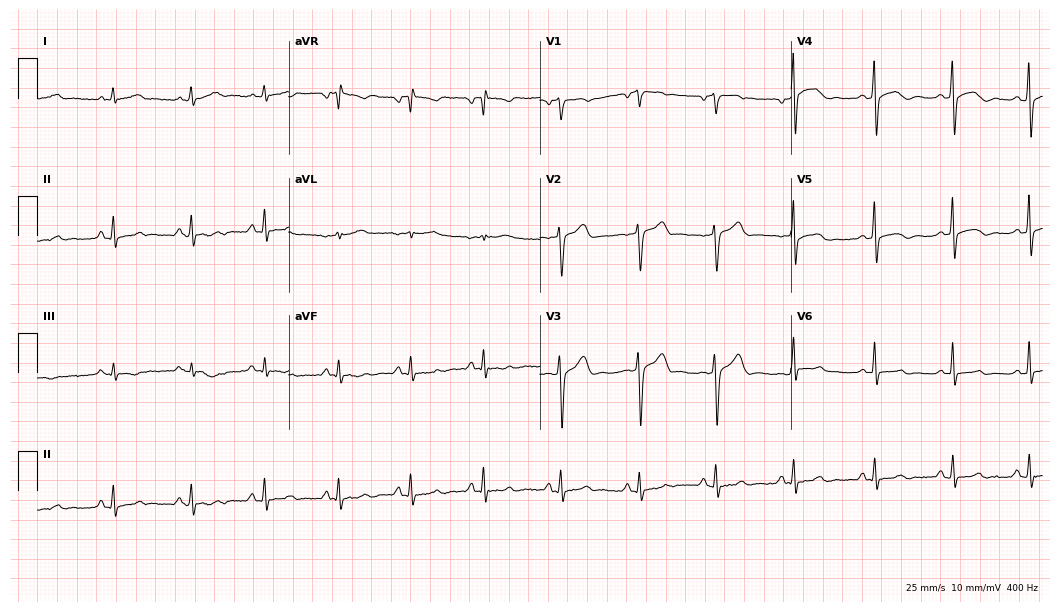
12-lead ECG from a male, 39 years old (10.2-second recording at 400 Hz). No first-degree AV block, right bundle branch block, left bundle branch block, sinus bradycardia, atrial fibrillation or sinus tachycardia recorded for this tracing. Other findings, if any, are not listed.